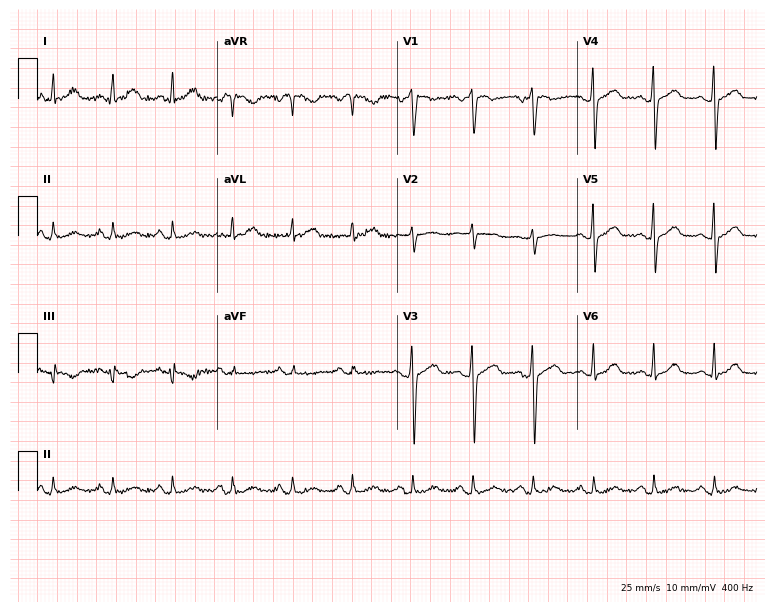
Standard 12-lead ECG recorded from a 45-year-old man (7.3-second recording at 400 Hz). None of these six findings is recorded: first-degree AV block, right bundle branch block (RBBB), left bundle branch block (LBBB), sinus bradycardia, atrial fibrillation (AF), sinus tachycardia.